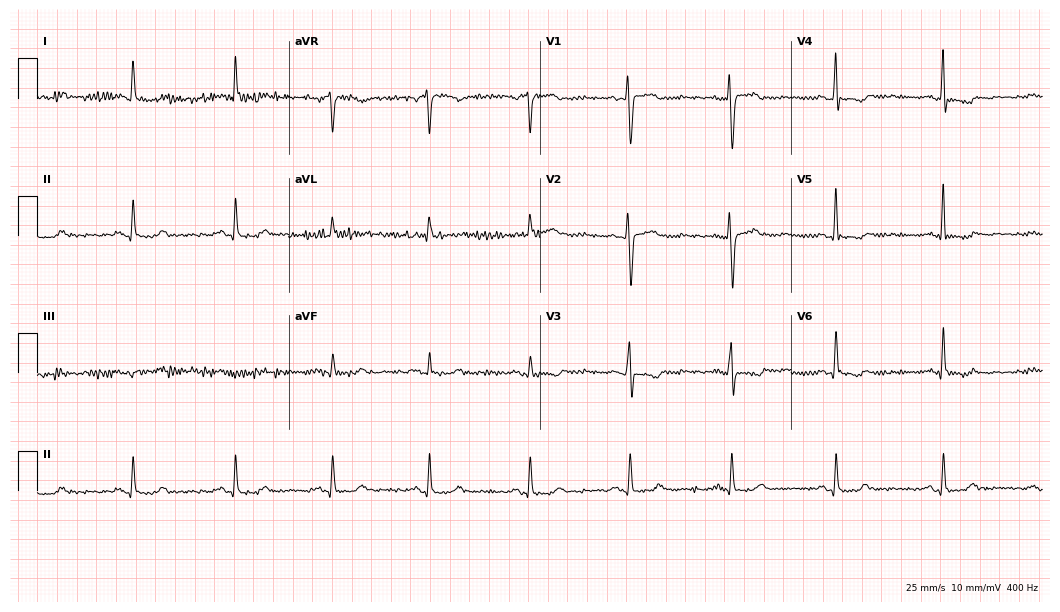
Electrocardiogram (10.2-second recording at 400 Hz), a 56-year-old female. Overall reading on record: normal ECG.